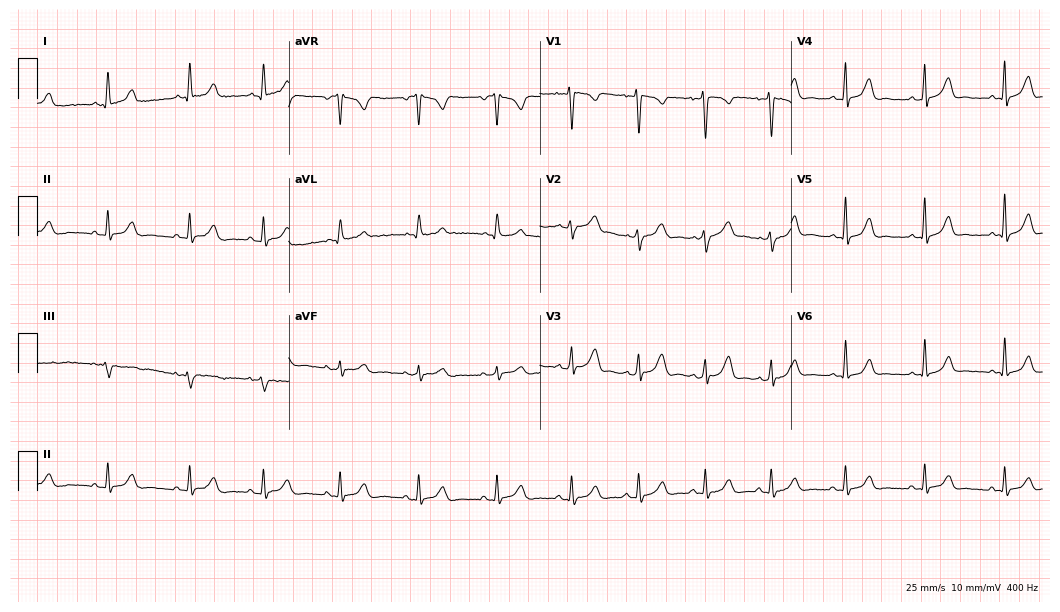
12-lead ECG from a 24-year-old female patient. No first-degree AV block, right bundle branch block, left bundle branch block, sinus bradycardia, atrial fibrillation or sinus tachycardia recorded for this tracing. Only these six findings were labelled.